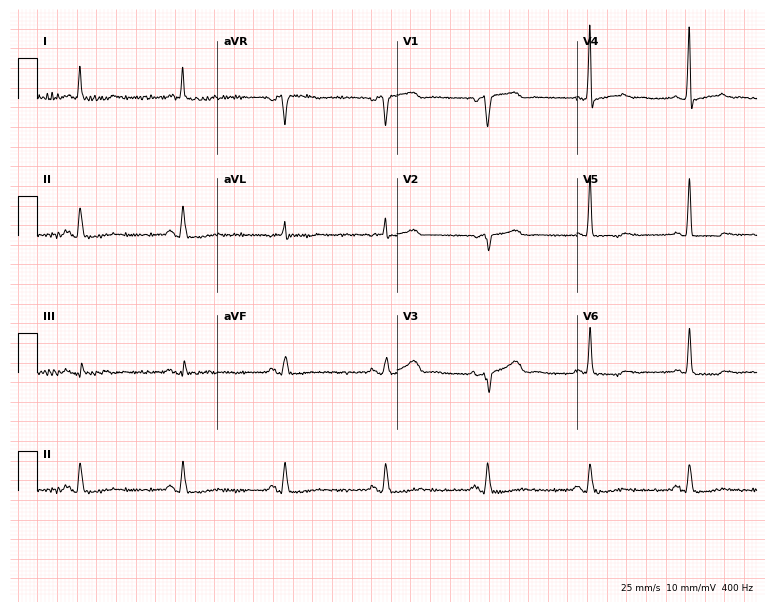
ECG (7.3-second recording at 400 Hz) — a 73-year-old female. Screened for six findings — first-degree AV block, right bundle branch block, left bundle branch block, sinus bradycardia, atrial fibrillation, sinus tachycardia — none is recorded.